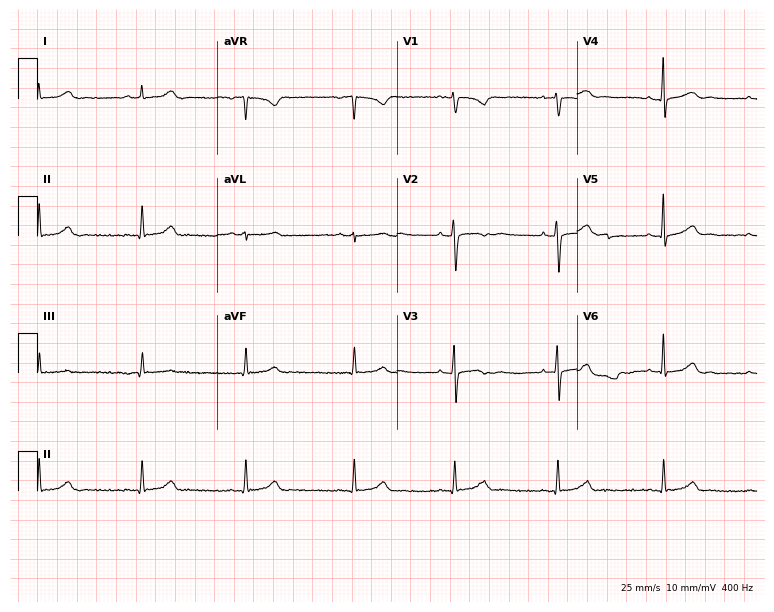
12-lead ECG from a female, 27 years old (7.3-second recording at 400 Hz). Recorded interpretation: within normal limits.